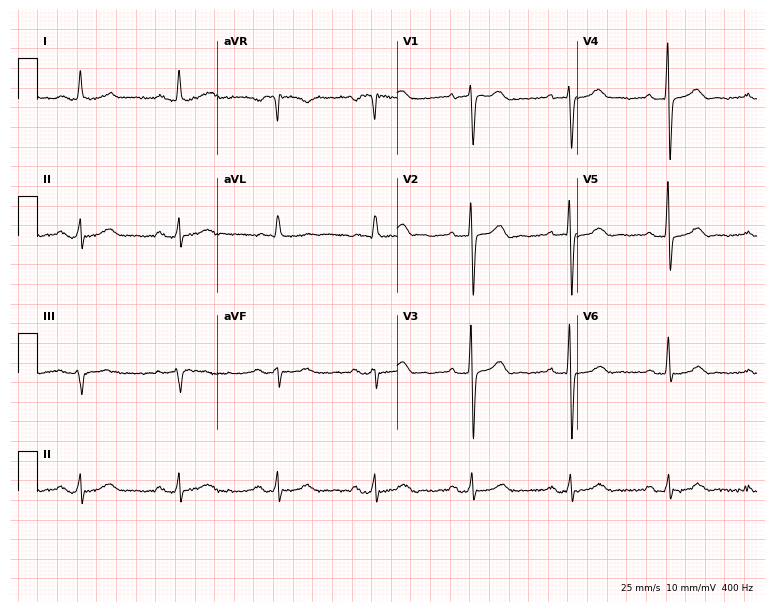
12-lead ECG from a male patient, 83 years old. Labelled as a normal ECG.